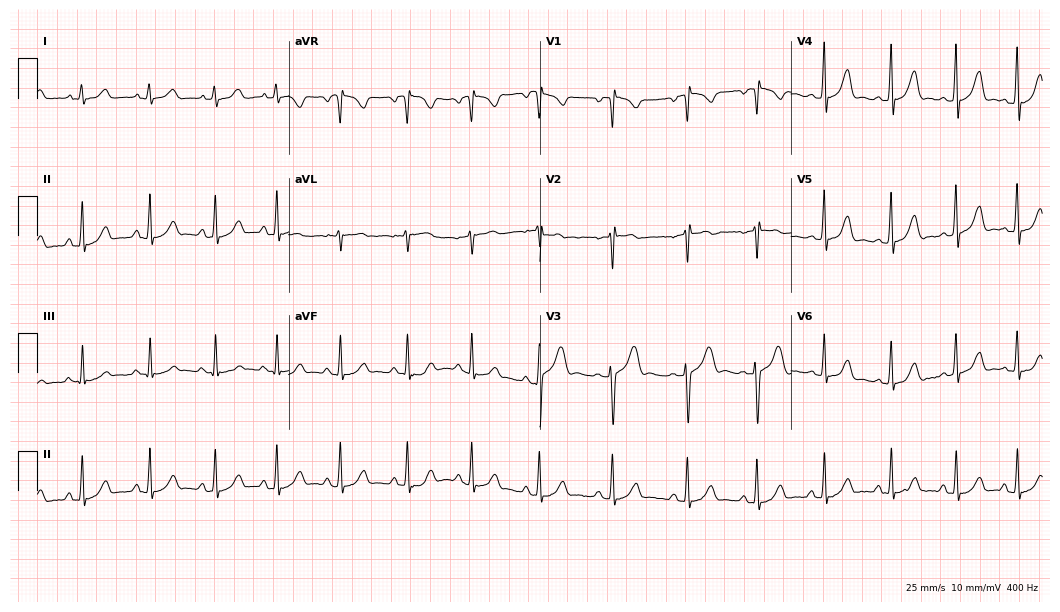
12-lead ECG from an 18-year-old female. Labelled as a normal ECG.